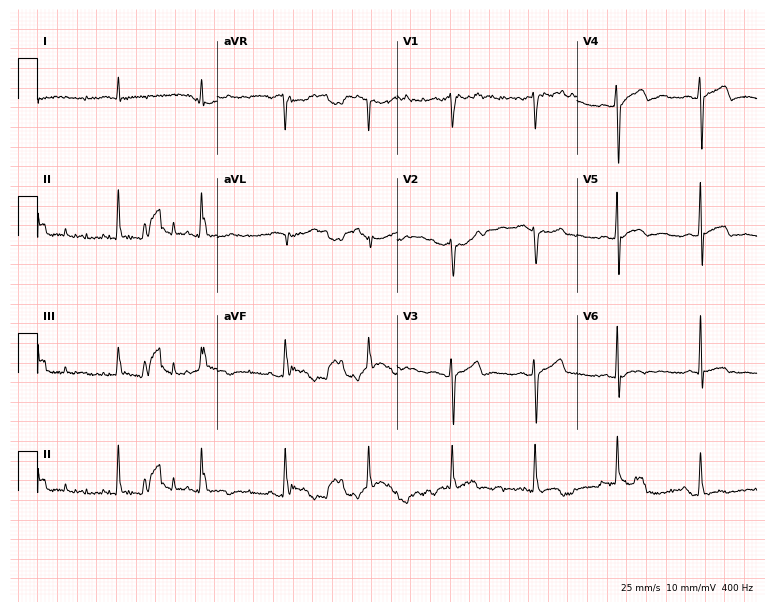
Electrocardiogram, a male, 39 years old. Overall reading on record: normal ECG.